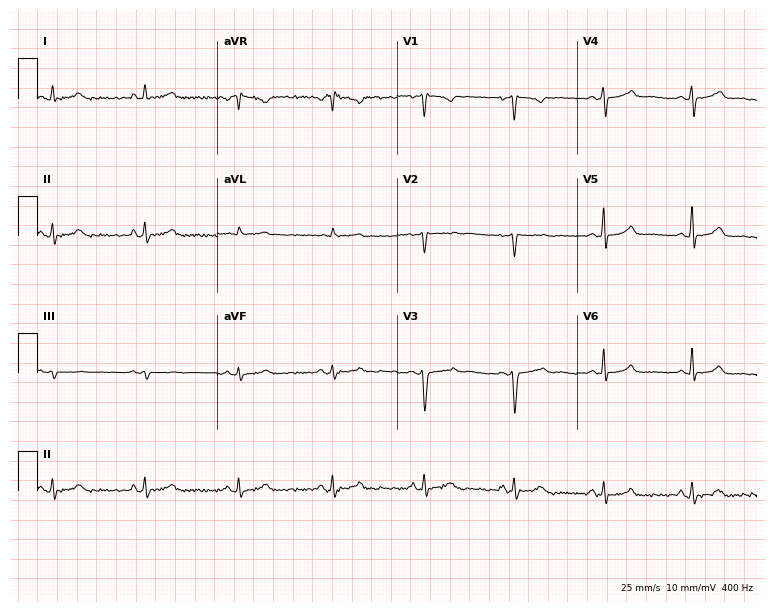
Electrocardiogram, a 32-year-old female. Of the six screened findings (first-degree AV block, right bundle branch block, left bundle branch block, sinus bradycardia, atrial fibrillation, sinus tachycardia), none is recorded.